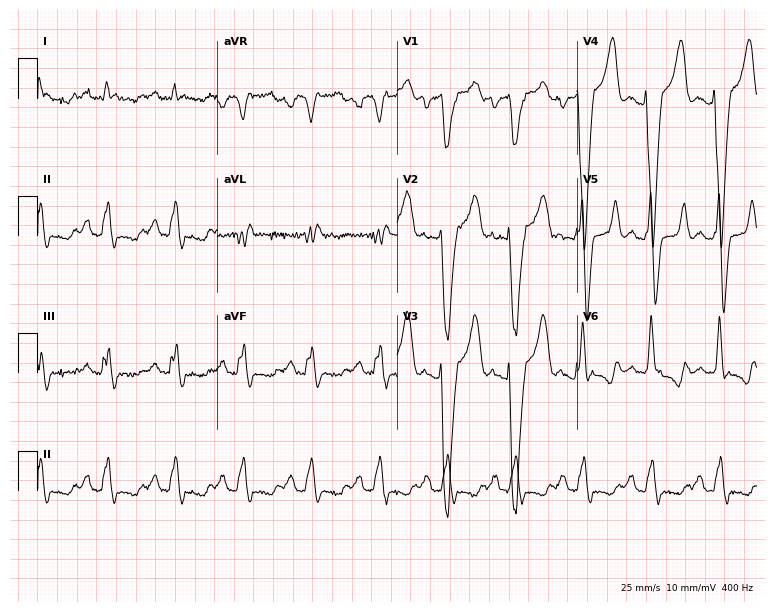
Electrocardiogram, a 51-year-old man. Interpretation includes left bundle branch block.